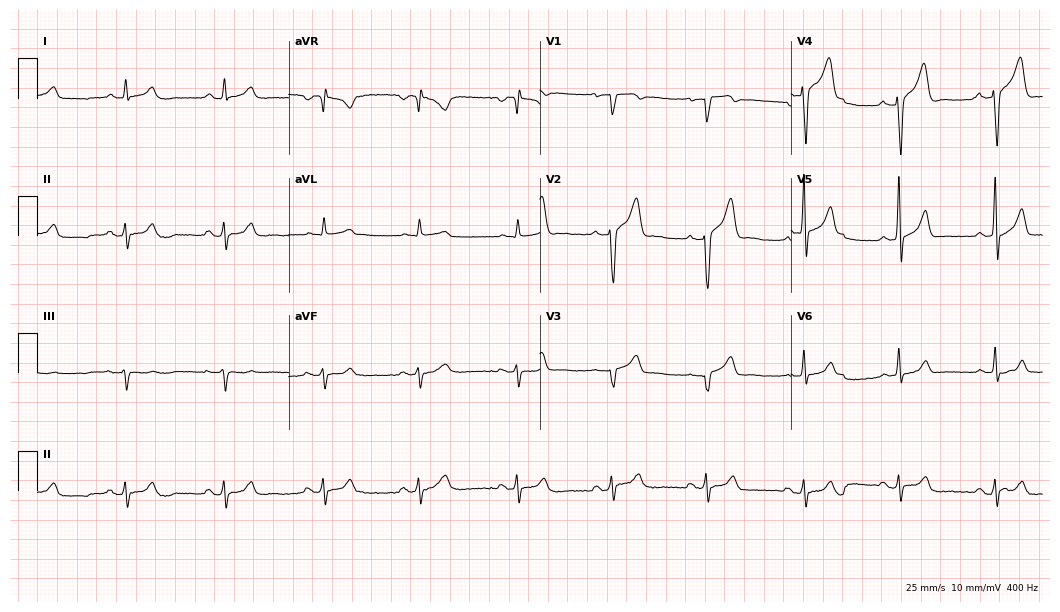
ECG (10.2-second recording at 400 Hz) — a 53-year-old male. Screened for six findings — first-degree AV block, right bundle branch block, left bundle branch block, sinus bradycardia, atrial fibrillation, sinus tachycardia — none is recorded.